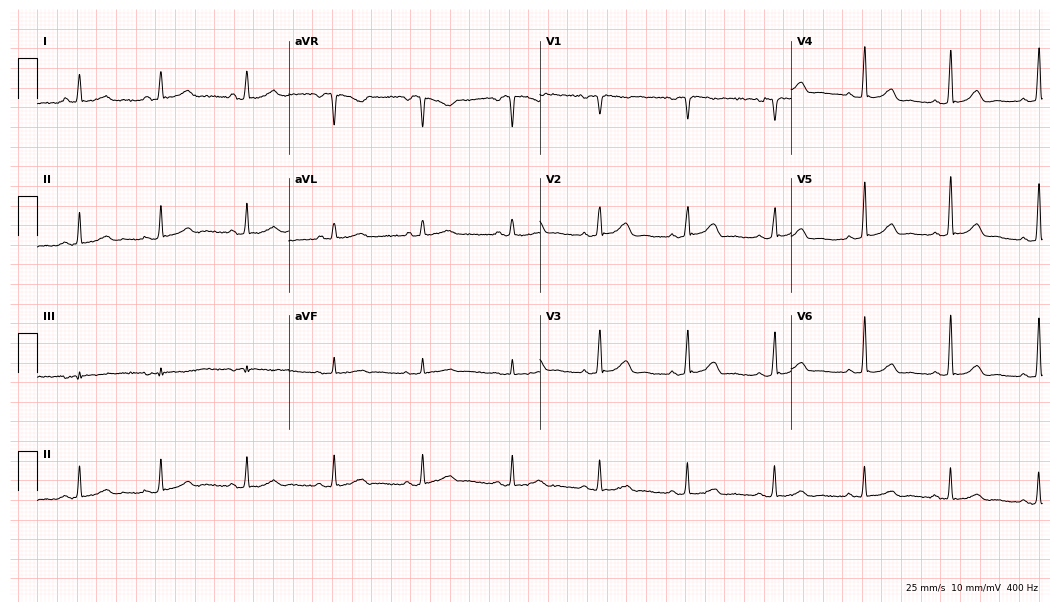
12-lead ECG from a woman, 54 years old. Recorded interpretation: within normal limits.